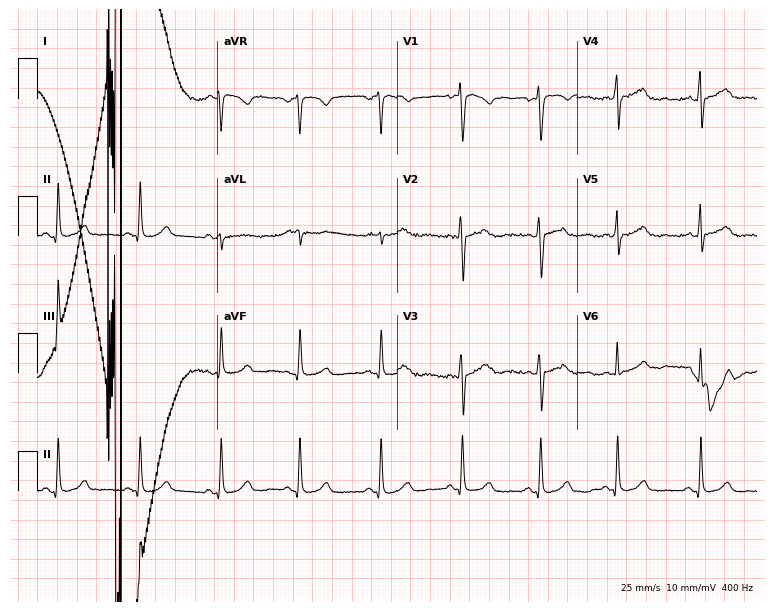
Standard 12-lead ECG recorded from a female patient, 42 years old. None of these six findings is recorded: first-degree AV block, right bundle branch block, left bundle branch block, sinus bradycardia, atrial fibrillation, sinus tachycardia. Other findings, if any, are not listed.